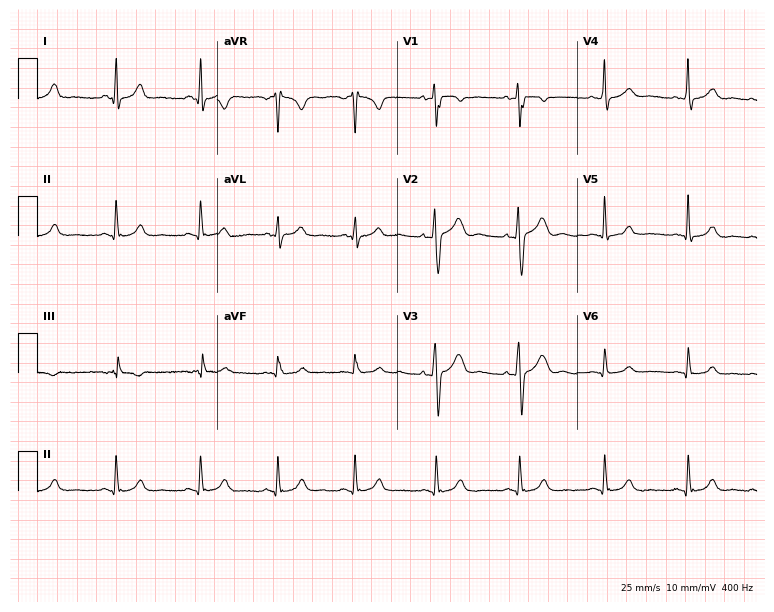
12-lead ECG from a 28-year-old woman. No first-degree AV block, right bundle branch block (RBBB), left bundle branch block (LBBB), sinus bradycardia, atrial fibrillation (AF) or sinus tachycardia recorded for this tracing.